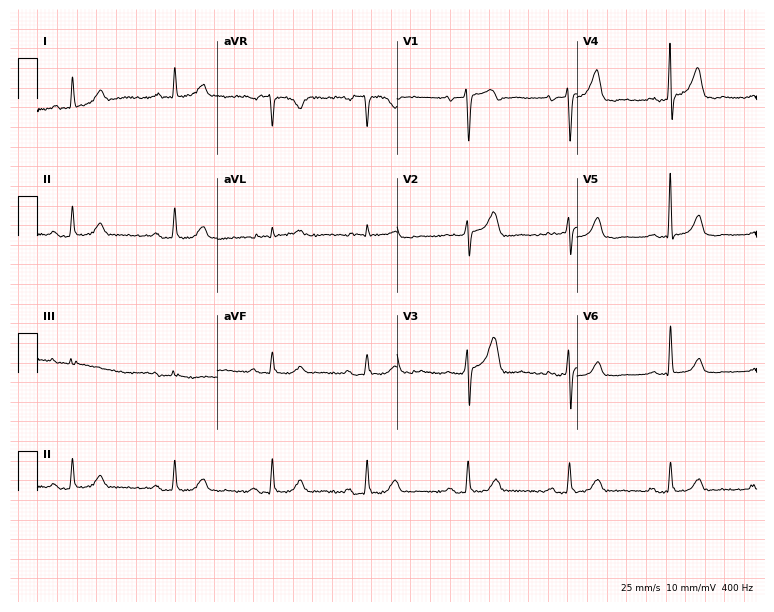
ECG (7.3-second recording at 400 Hz) — a 61-year-old female. Screened for six findings — first-degree AV block, right bundle branch block, left bundle branch block, sinus bradycardia, atrial fibrillation, sinus tachycardia — none is recorded. Findings outside these six are not listed.